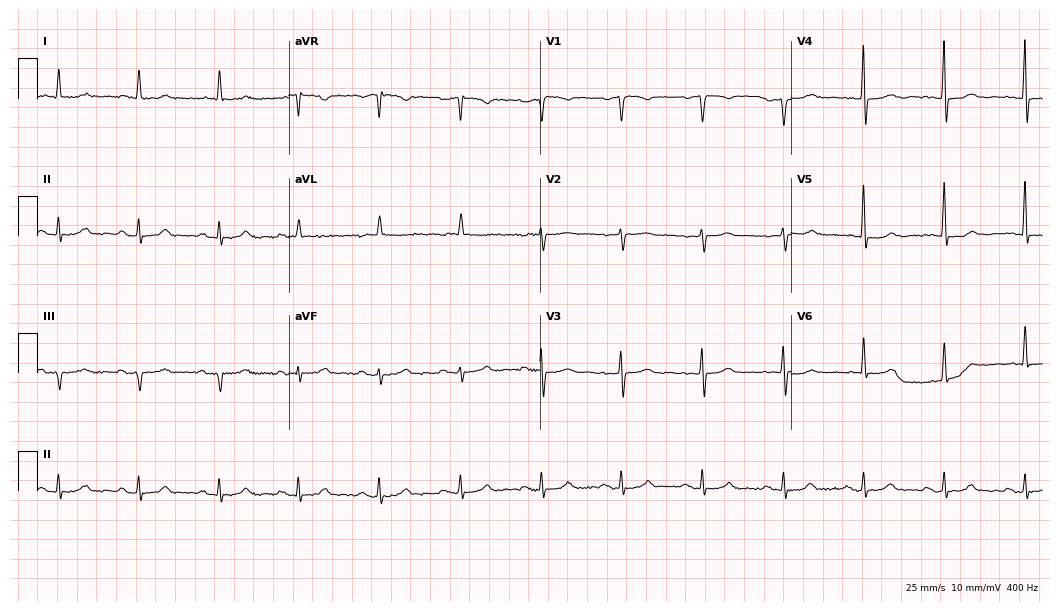
ECG — a woman, 79 years old. Screened for six findings — first-degree AV block, right bundle branch block (RBBB), left bundle branch block (LBBB), sinus bradycardia, atrial fibrillation (AF), sinus tachycardia — none is recorded.